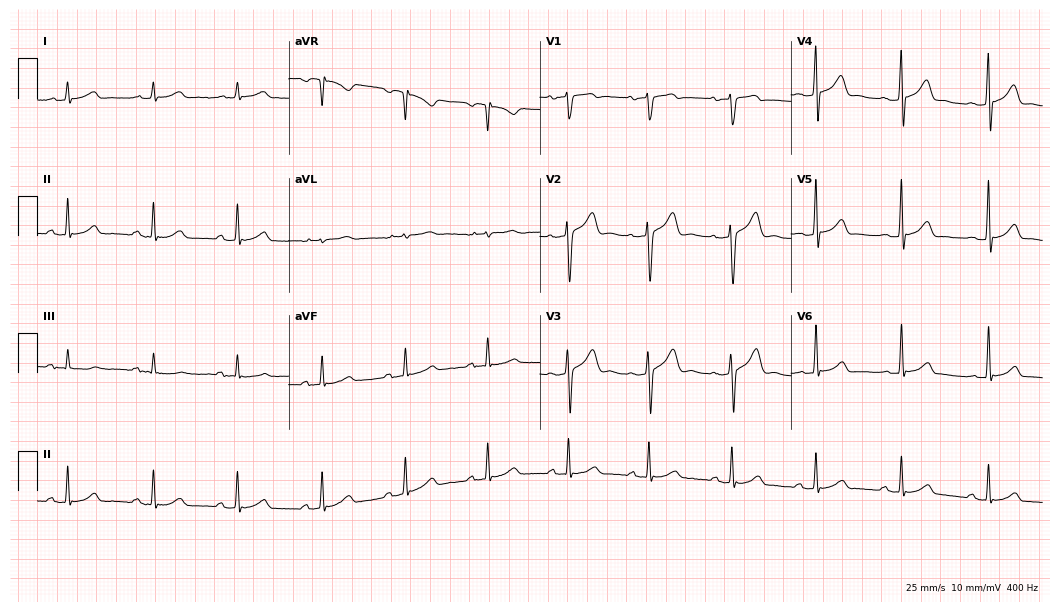
Standard 12-lead ECG recorded from a 43-year-old male patient. Read as a normal ECG.